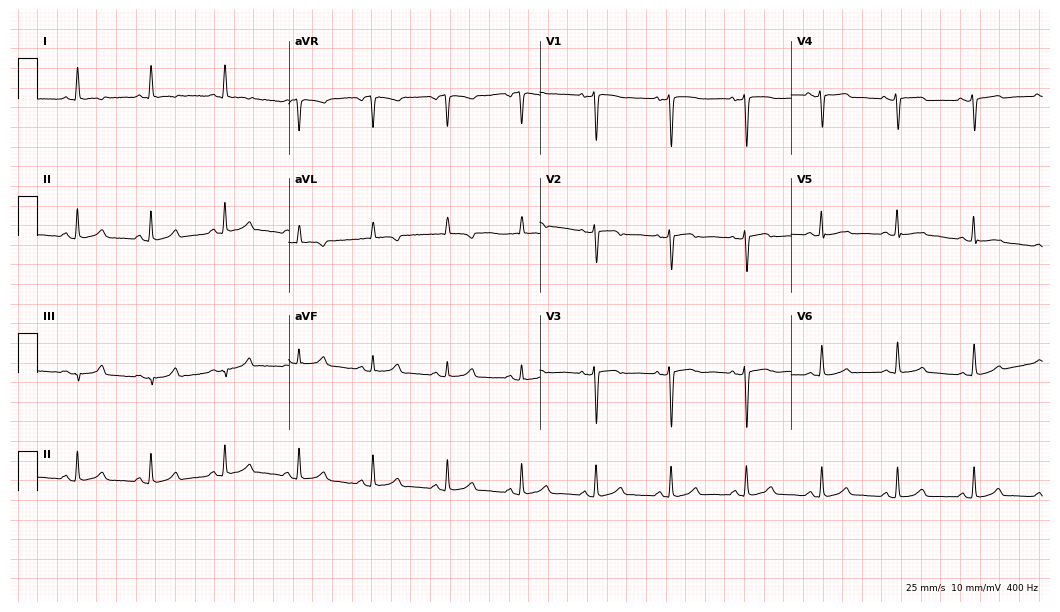
12-lead ECG from a 61-year-old female (10.2-second recording at 400 Hz). No first-degree AV block, right bundle branch block (RBBB), left bundle branch block (LBBB), sinus bradycardia, atrial fibrillation (AF) or sinus tachycardia recorded for this tracing. Other findings, if any, are not listed.